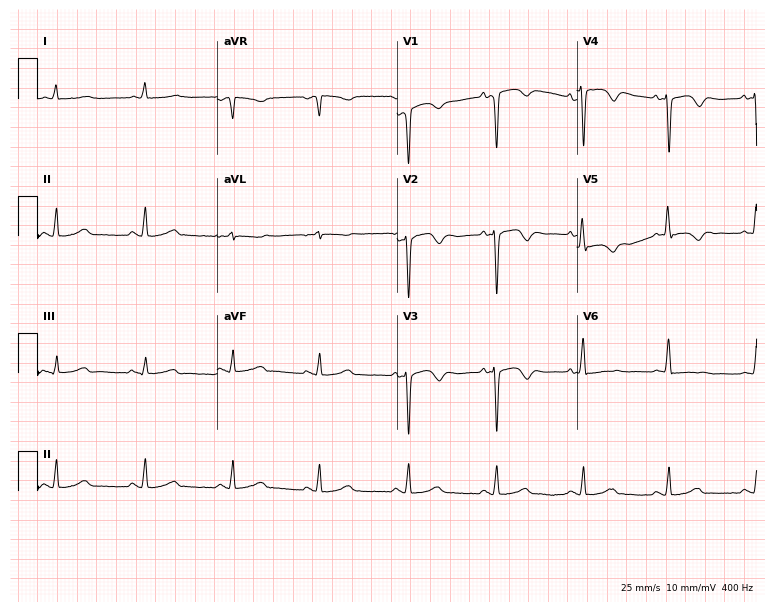
12-lead ECG (7.3-second recording at 400 Hz) from a woman, 81 years old. Screened for six findings — first-degree AV block, right bundle branch block, left bundle branch block, sinus bradycardia, atrial fibrillation, sinus tachycardia — none is recorded.